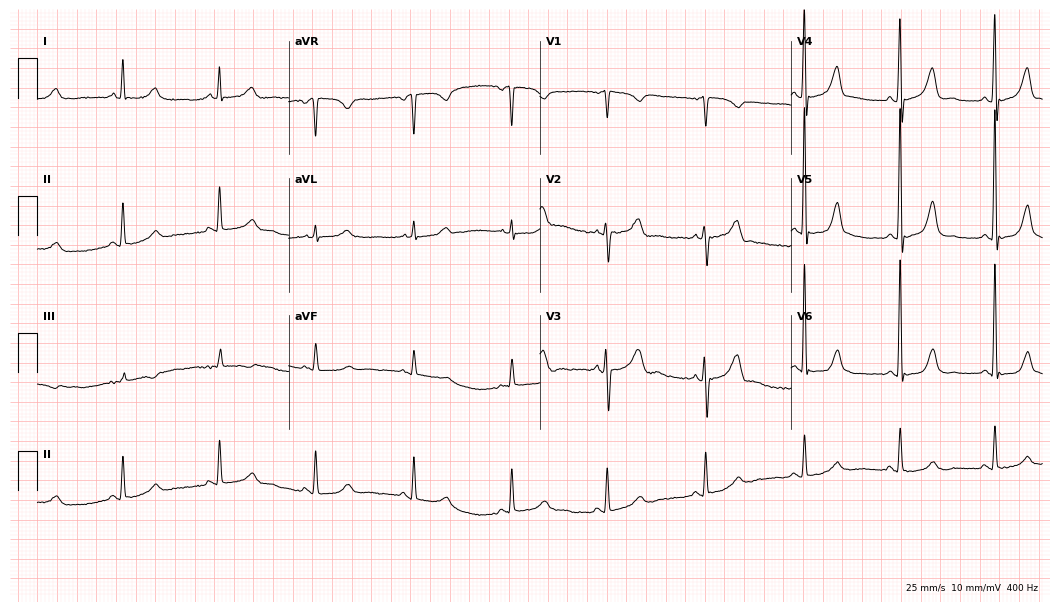
Standard 12-lead ECG recorded from a woman, 60 years old. Read as a normal ECG.